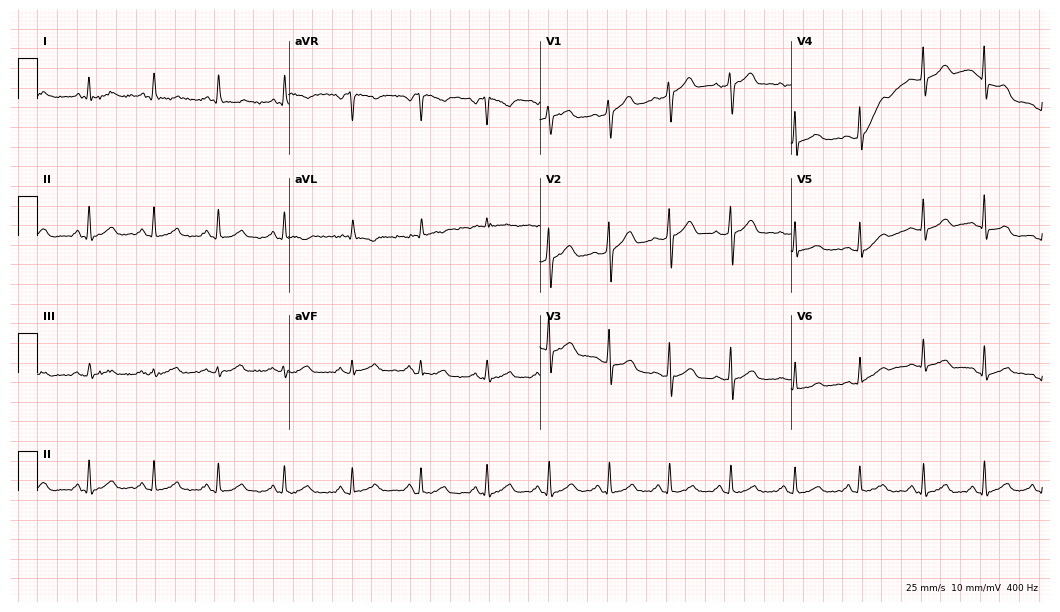
ECG (10.2-second recording at 400 Hz) — a 33-year-old male. Labelled as a normal ECG.